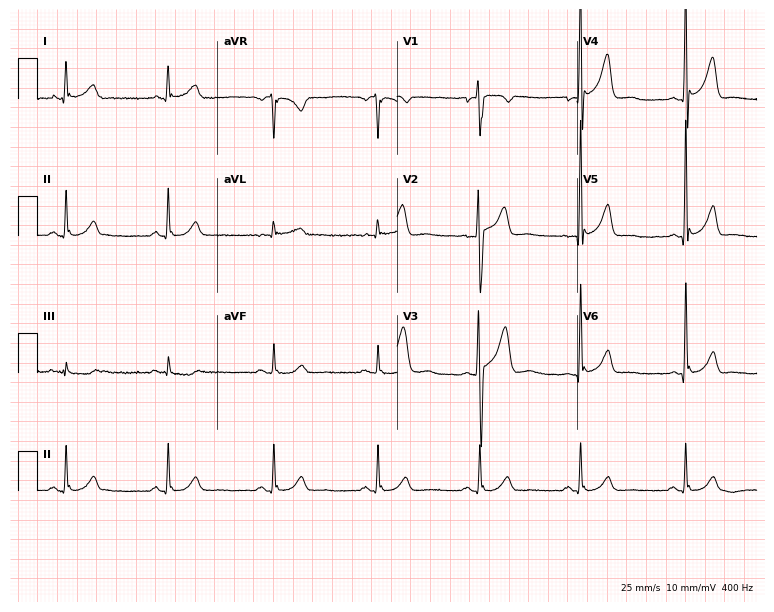
ECG (7.3-second recording at 400 Hz) — a 47-year-old man. Labelled as a normal ECG.